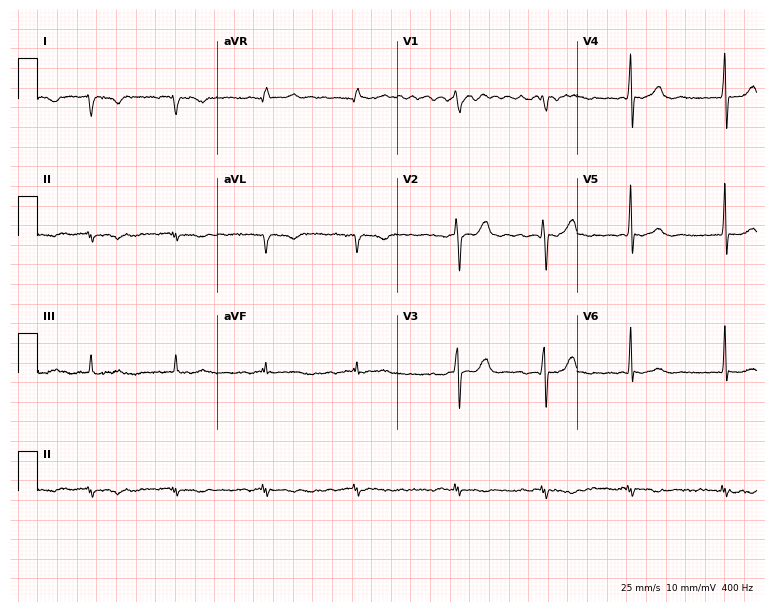
12-lead ECG from a female patient, 73 years old (7.3-second recording at 400 Hz). No first-degree AV block, right bundle branch block (RBBB), left bundle branch block (LBBB), sinus bradycardia, atrial fibrillation (AF) or sinus tachycardia recorded for this tracing. Other findings, if any, are not listed.